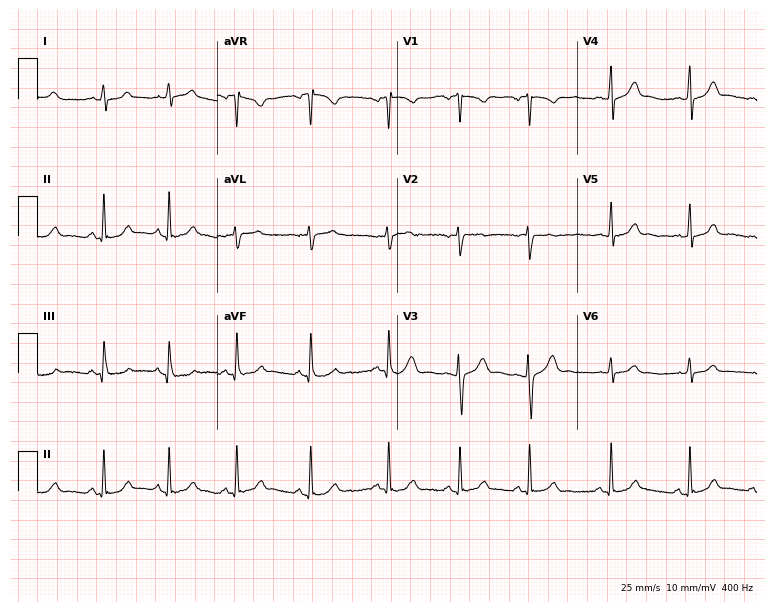
Standard 12-lead ECG recorded from a female patient, 17 years old (7.3-second recording at 400 Hz). None of these six findings is recorded: first-degree AV block, right bundle branch block (RBBB), left bundle branch block (LBBB), sinus bradycardia, atrial fibrillation (AF), sinus tachycardia.